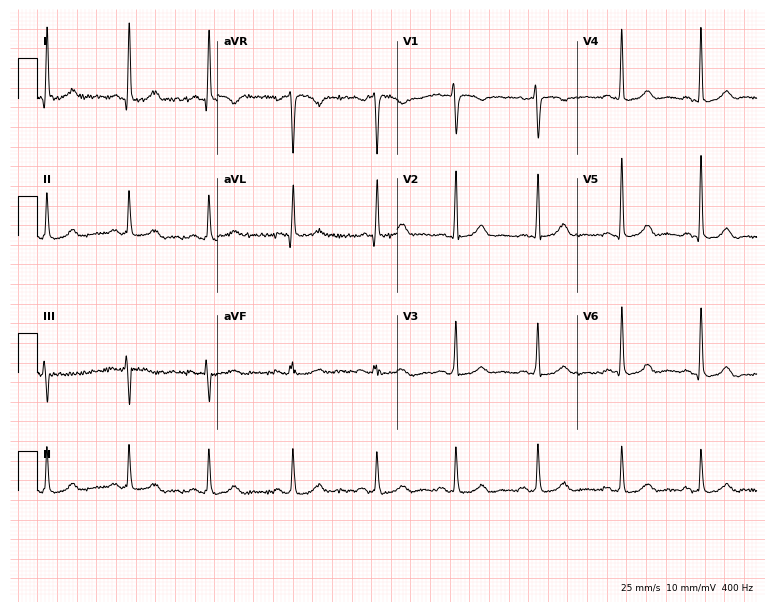
ECG — a female, 50 years old. Screened for six findings — first-degree AV block, right bundle branch block, left bundle branch block, sinus bradycardia, atrial fibrillation, sinus tachycardia — none is recorded. Only these six findings were labelled.